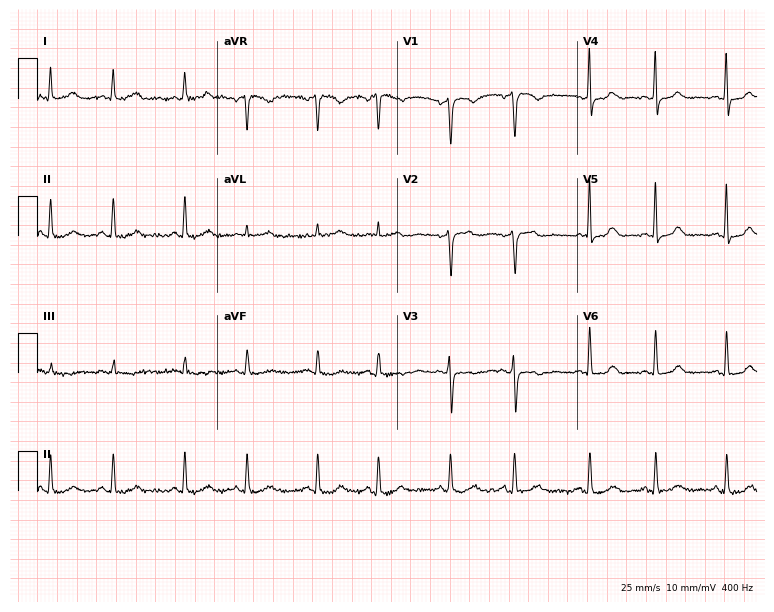
12-lead ECG from a woman, 65 years old. Recorded interpretation: within normal limits.